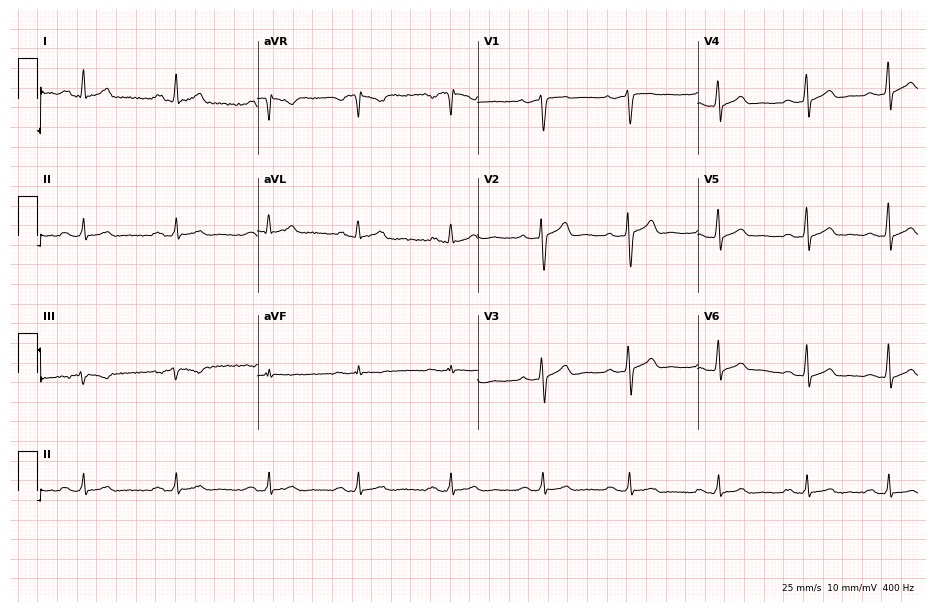
ECG — a male, 31 years old. Screened for six findings — first-degree AV block, right bundle branch block, left bundle branch block, sinus bradycardia, atrial fibrillation, sinus tachycardia — none is recorded. Other findings, if any, are not listed.